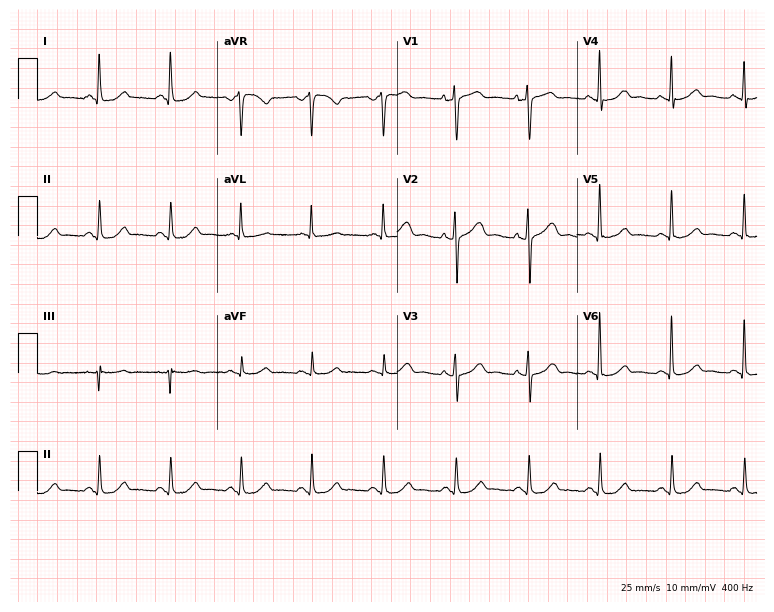
ECG — a female patient, 61 years old. Labelled as a normal ECG.